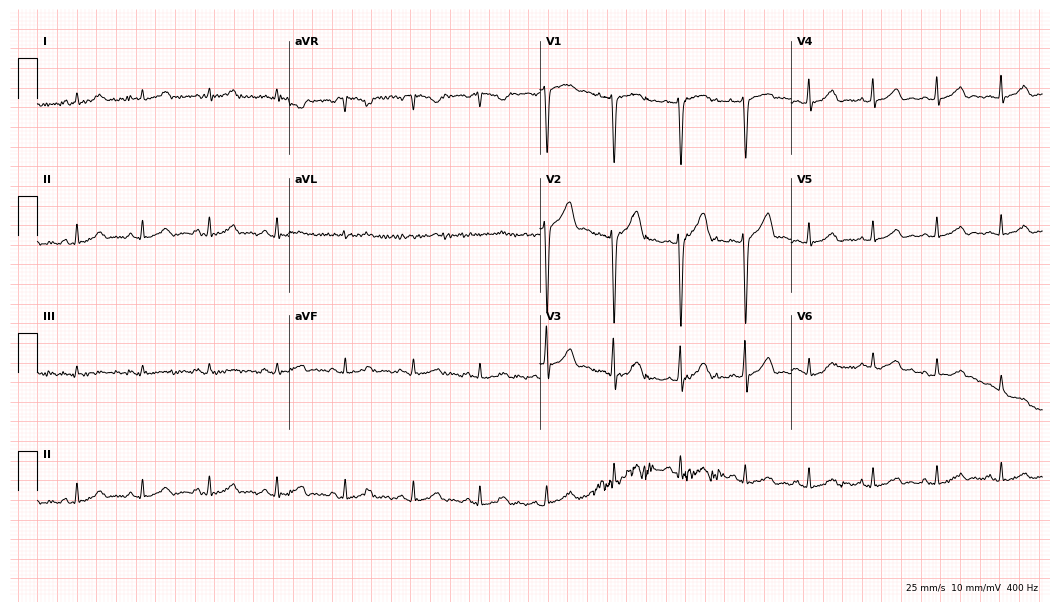
12-lead ECG (10.2-second recording at 400 Hz) from a 40-year-old woman. Labelled as a normal ECG.